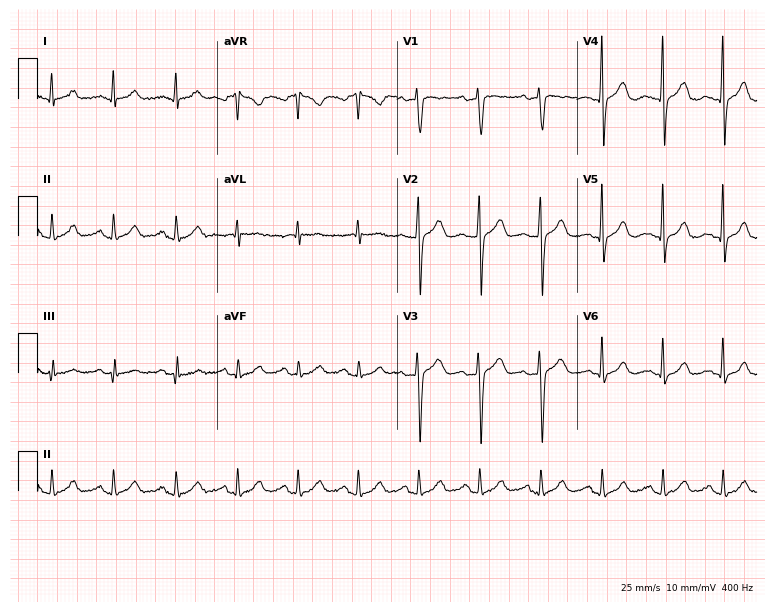
12-lead ECG from a female, 78 years old. Recorded interpretation: within normal limits.